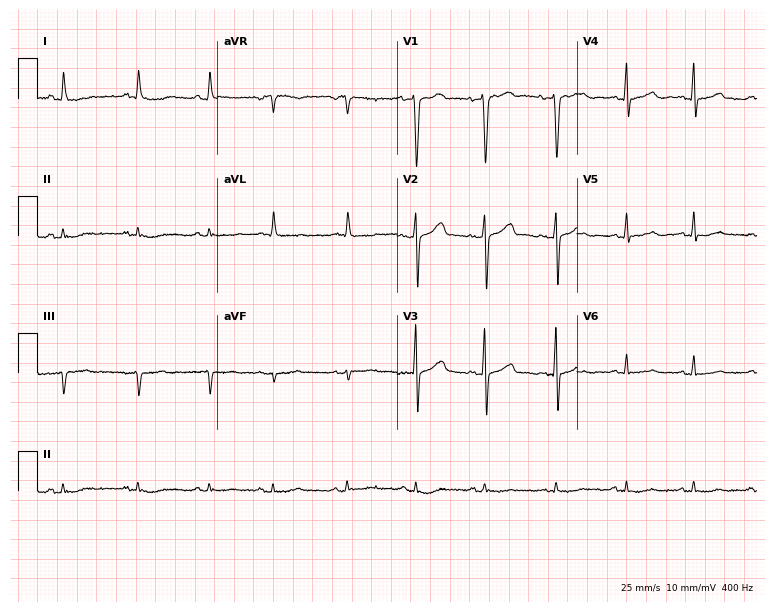
Resting 12-lead electrocardiogram. Patient: a female, 64 years old. None of these six findings is recorded: first-degree AV block, right bundle branch block (RBBB), left bundle branch block (LBBB), sinus bradycardia, atrial fibrillation (AF), sinus tachycardia.